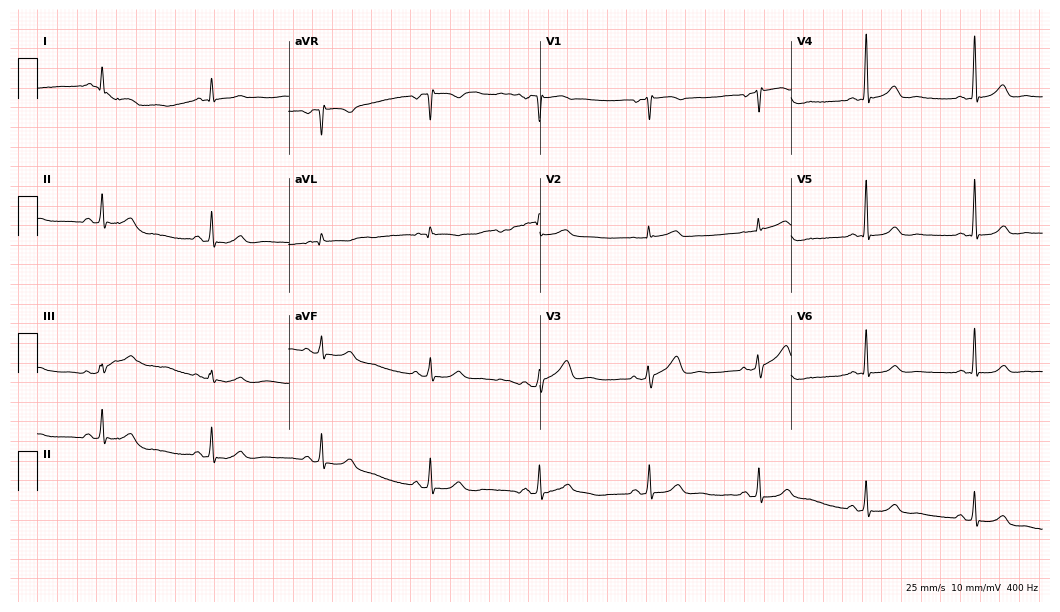
12-lead ECG (10.2-second recording at 400 Hz) from a 49-year-old female patient. Labelled as a normal ECG.